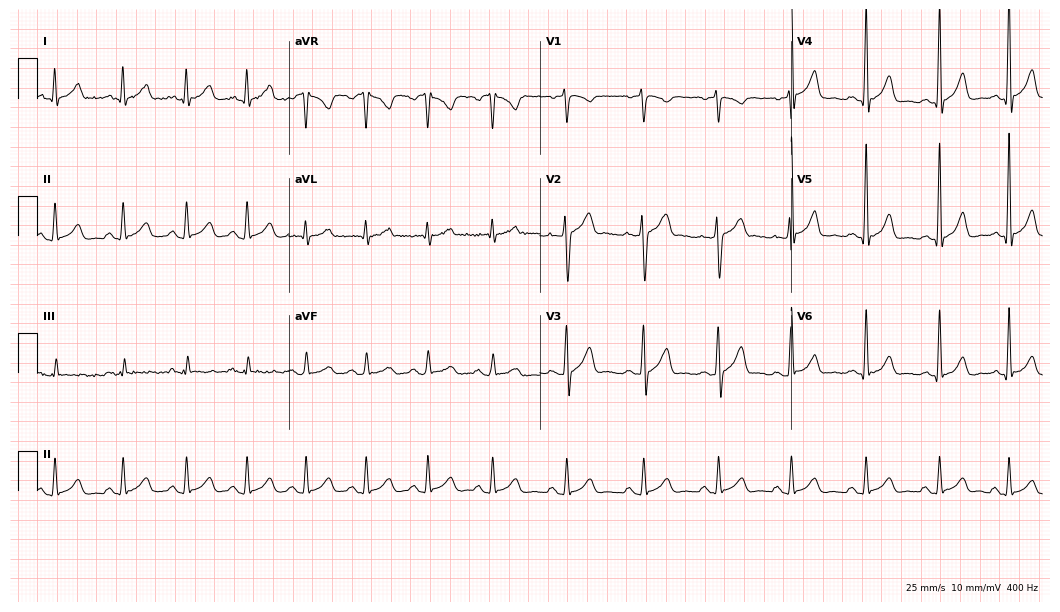
Standard 12-lead ECG recorded from a 43-year-old male. Read as a normal ECG.